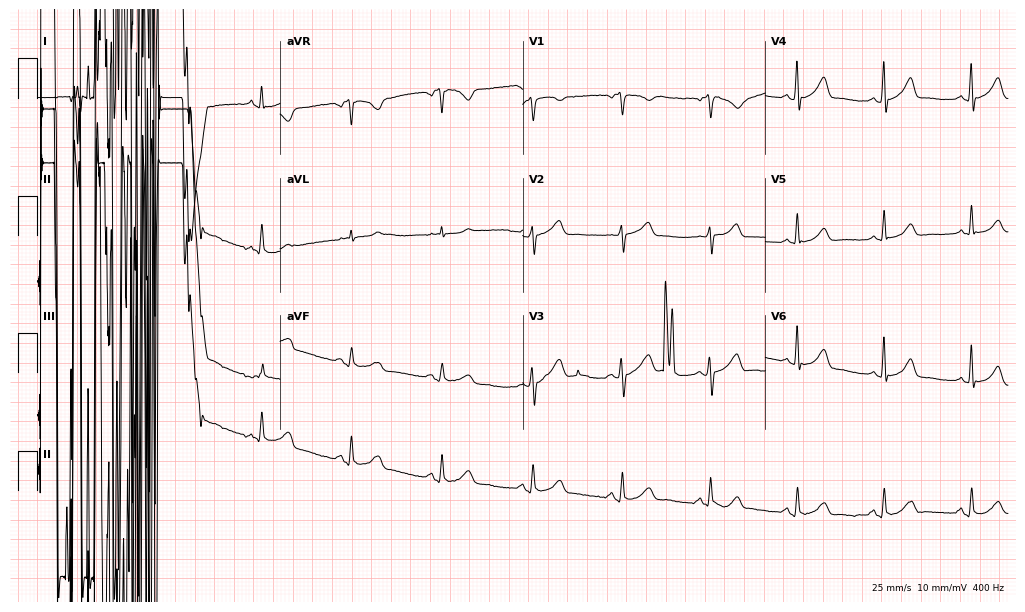
Electrocardiogram, a female, 62 years old. Of the six screened findings (first-degree AV block, right bundle branch block, left bundle branch block, sinus bradycardia, atrial fibrillation, sinus tachycardia), none is recorded.